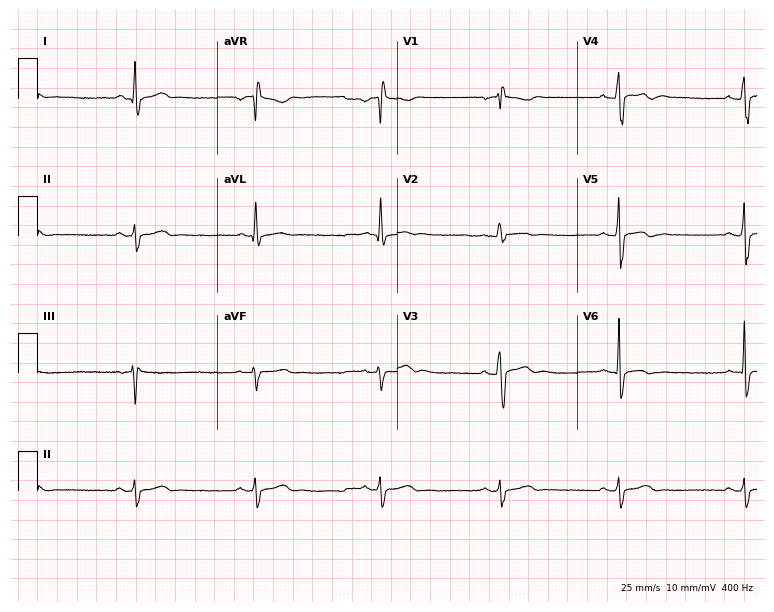
ECG — a male patient, 27 years old. Screened for six findings — first-degree AV block, right bundle branch block, left bundle branch block, sinus bradycardia, atrial fibrillation, sinus tachycardia — none is recorded.